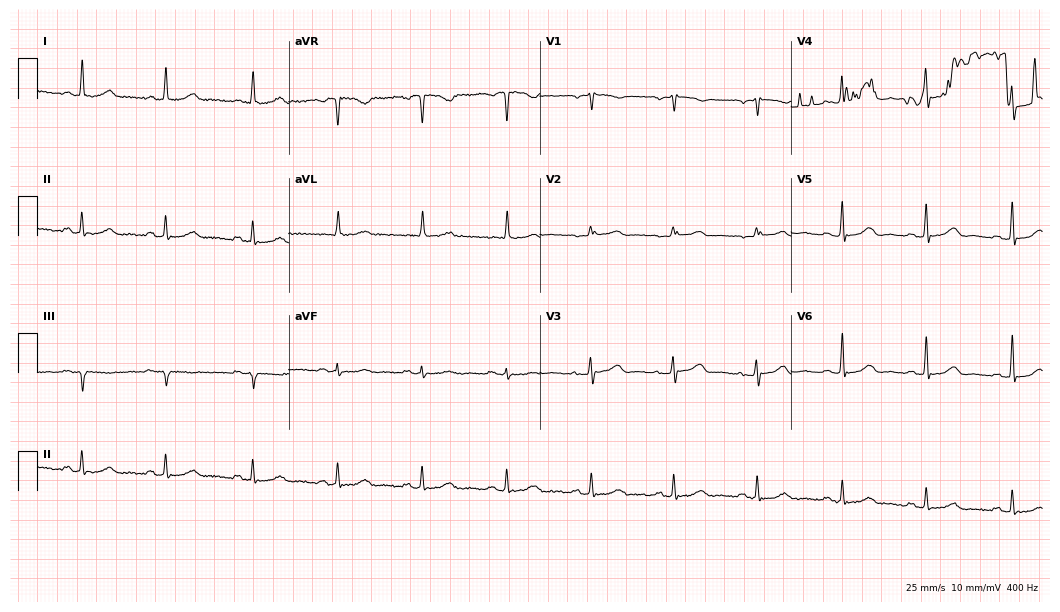
12-lead ECG from a 54-year-old woman. Screened for six findings — first-degree AV block, right bundle branch block (RBBB), left bundle branch block (LBBB), sinus bradycardia, atrial fibrillation (AF), sinus tachycardia — none is recorded. Only these six findings were labelled.